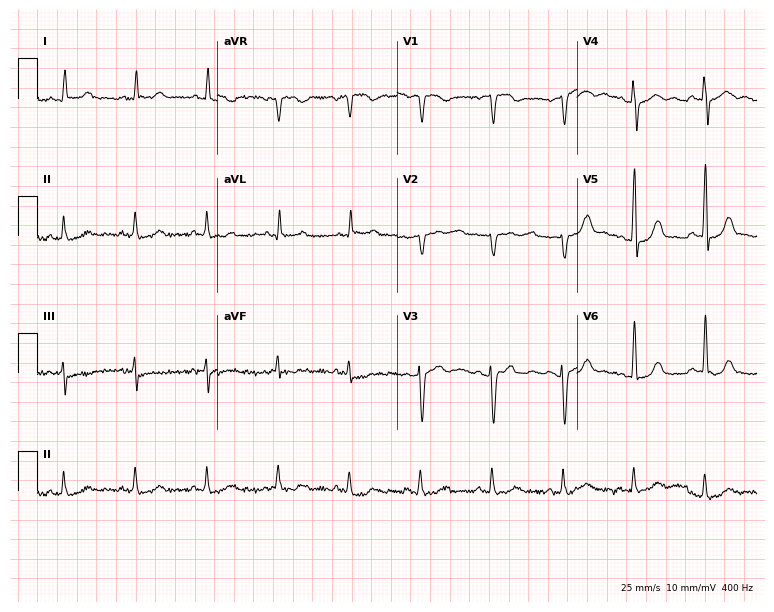
12-lead ECG from a female, 63 years old. Labelled as a normal ECG.